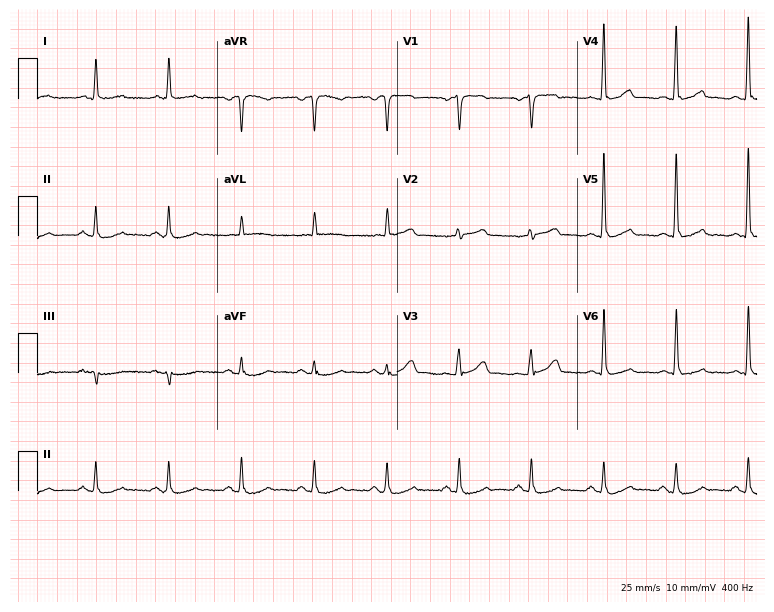
Electrocardiogram, a 79-year-old male. Of the six screened findings (first-degree AV block, right bundle branch block (RBBB), left bundle branch block (LBBB), sinus bradycardia, atrial fibrillation (AF), sinus tachycardia), none is recorded. Findings outside these six are not listed.